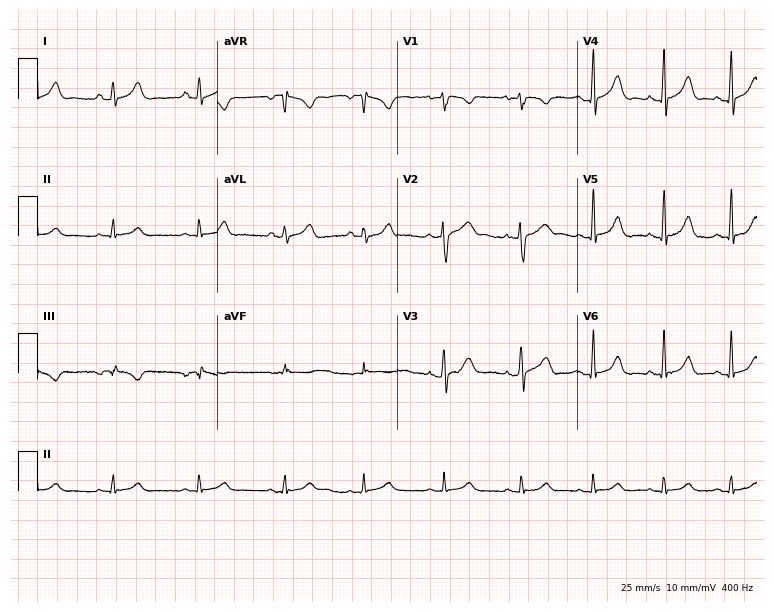
Standard 12-lead ECG recorded from a 22-year-old female patient (7.3-second recording at 400 Hz). Read as a normal ECG.